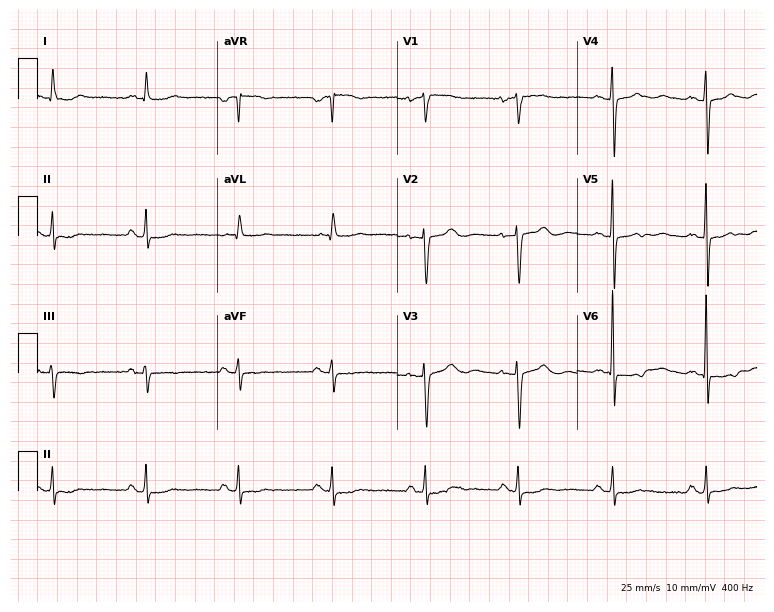
Resting 12-lead electrocardiogram (7.3-second recording at 400 Hz). Patient: a 79-year-old female. None of these six findings is recorded: first-degree AV block, right bundle branch block, left bundle branch block, sinus bradycardia, atrial fibrillation, sinus tachycardia.